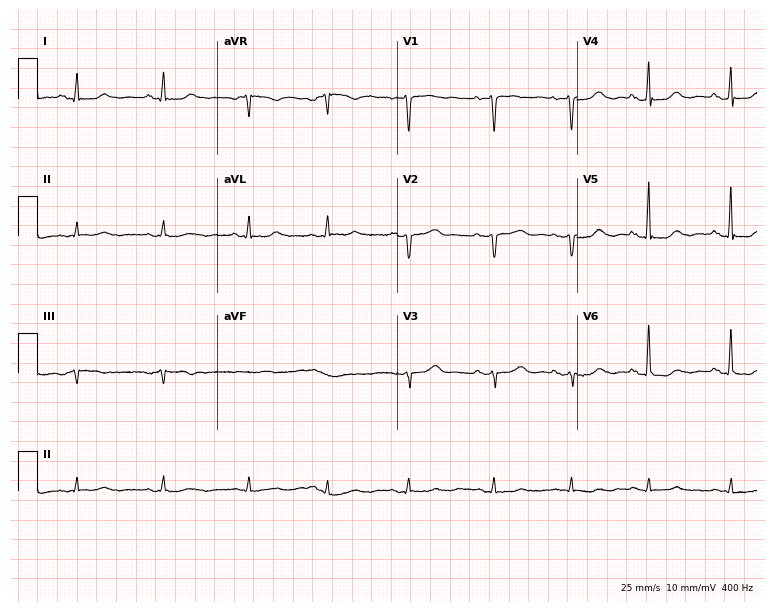
Standard 12-lead ECG recorded from a female, 34 years old. None of these six findings is recorded: first-degree AV block, right bundle branch block, left bundle branch block, sinus bradycardia, atrial fibrillation, sinus tachycardia.